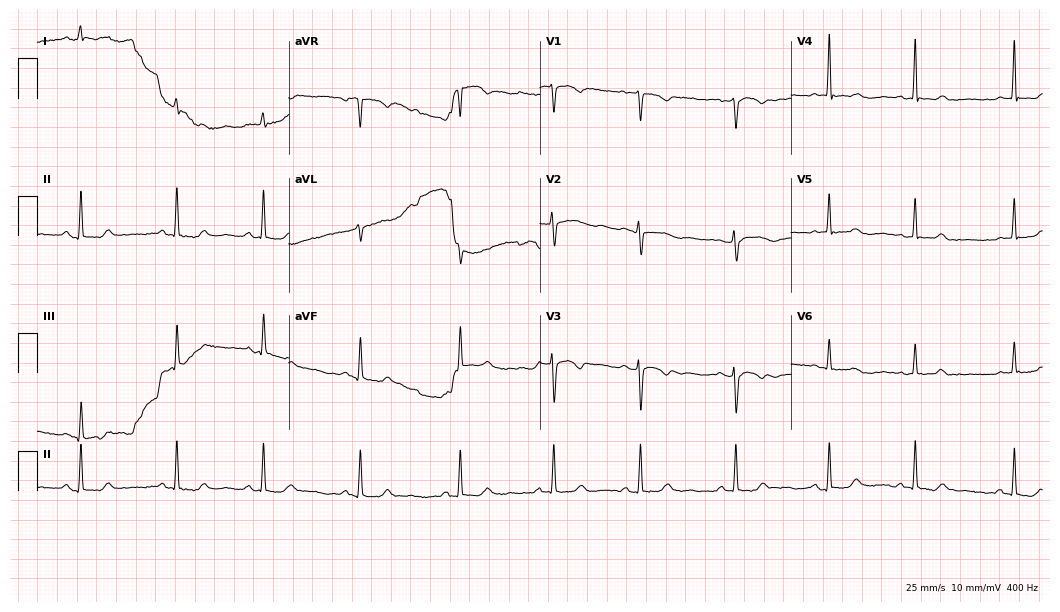
ECG (10.2-second recording at 400 Hz) — a 29-year-old female. Screened for six findings — first-degree AV block, right bundle branch block, left bundle branch block, sinus bradycardia, atrial fibrillation, sinus tachycardia — none is recorded. Findings outside these six are not listed.